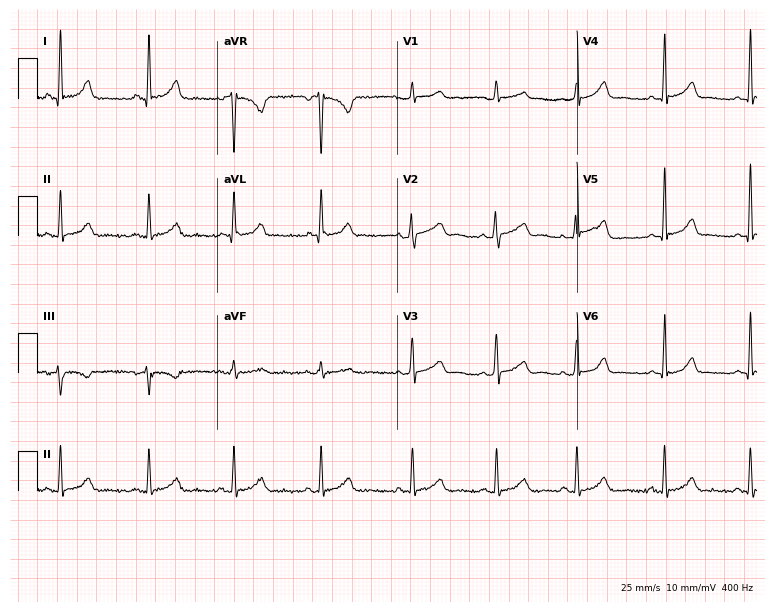
ECG (7.3-second recording at 400 Hz) — a woman, 41 years old. Labelled as a normal ECG.